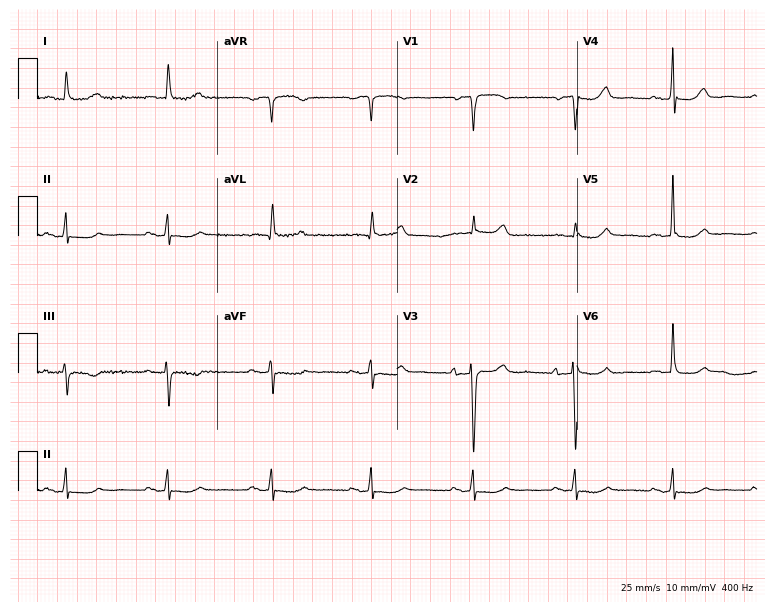
12-lead ECG from a female, 80 years old. Screened for six findings — first-degree AV block, right bundle branch block, left bundle branch block, sinus bradycardia, atrial fibrillation, sinus tachycardia — none is recorded. Only these six findings were labelled.